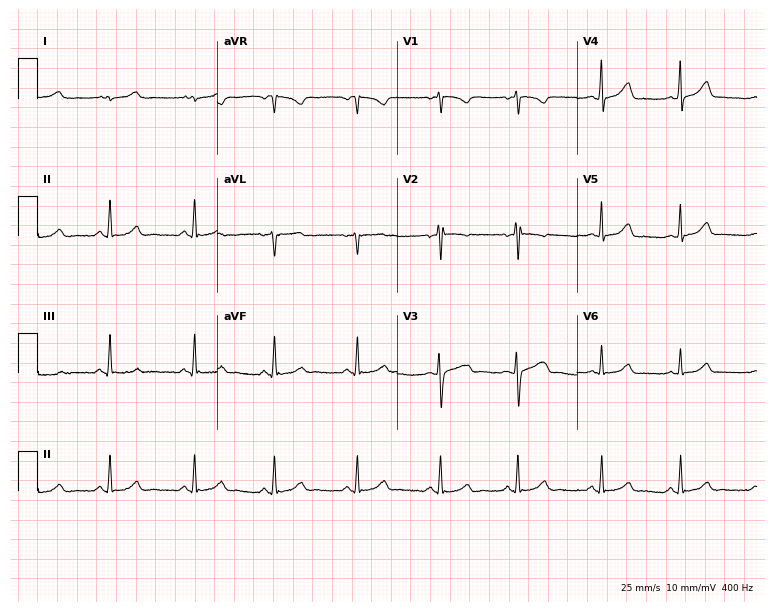
ECG (7.3-second recording at 400 Hz) — a female, 19 years old. Screened for six findings — first-degree AV block, right bundle branch block (RBBB), left bundle branch block (LBBB), sinus bradycardia, atrial fibrillation (AF), sinus tachycardia — none is recorded. Other findings, if any, are not listed.